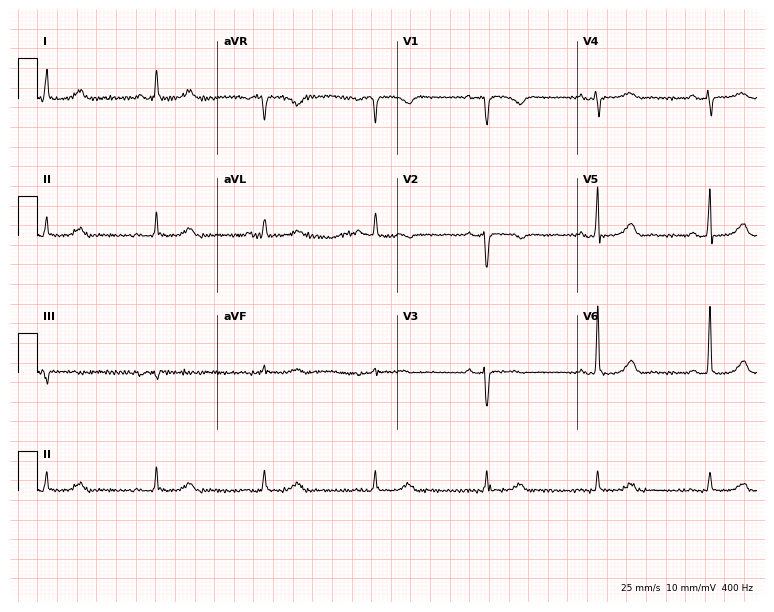
Standard 12-lead ECG recorded from a woman, 69 years old (7.3-second recording at 400 Hz). Read as a normal ECG.